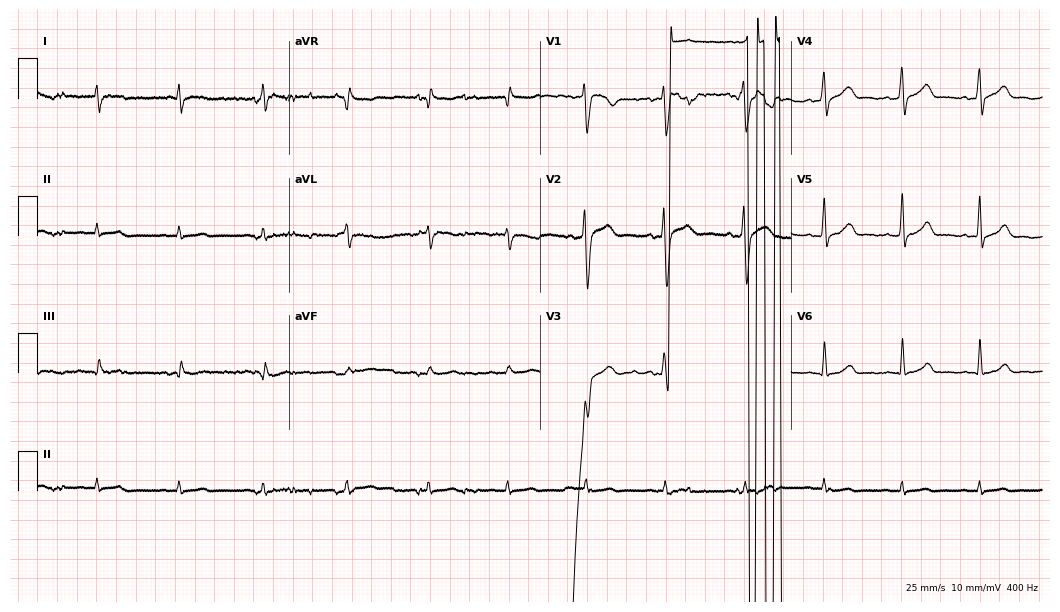
Standard 12-lead ECG recorded from a 42-year-old male patient (10.2-second recording at 400 Hz). None of these six findings is recorded: first-degree AV block, right bundle branch block (RBBB), left bundle branch block (LBBB), sinus bradycardia, atrial fibrillation (AF), sinus tachycardia.